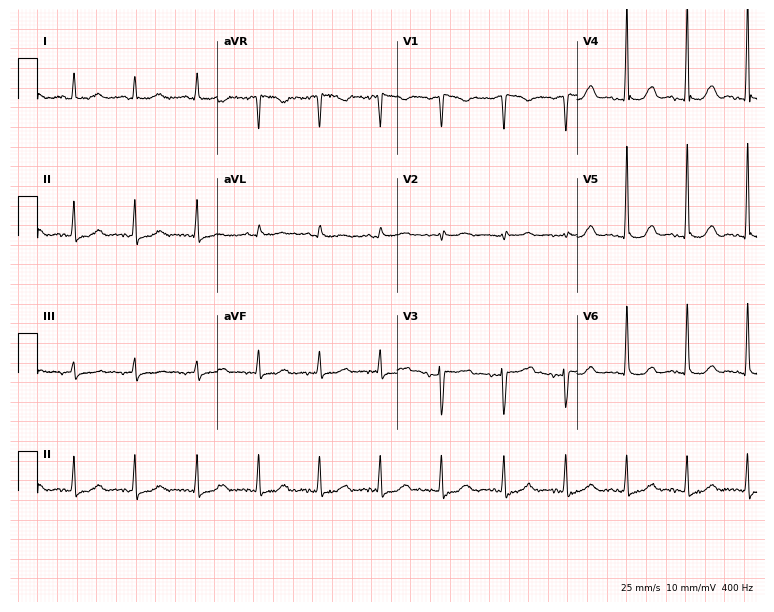
ECG — a female patient, 78 years old. Labelled as a normal ECG.